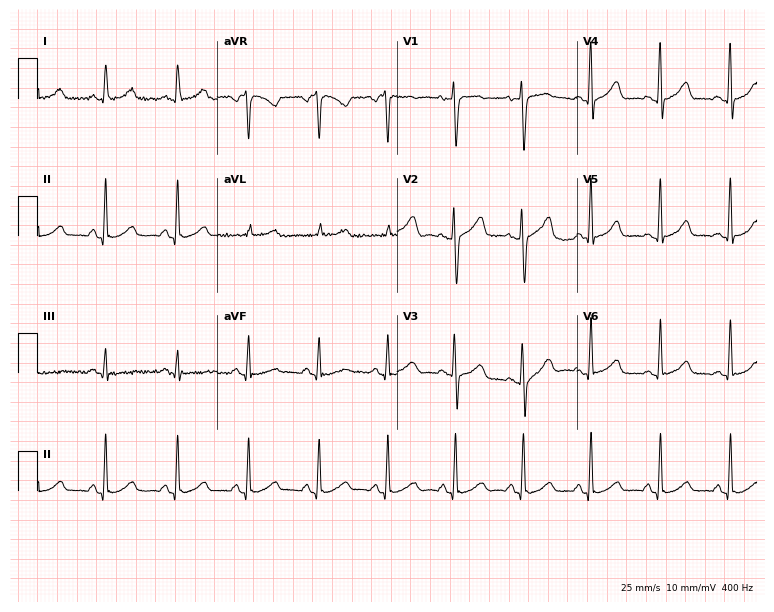
Electrocardiogram, a 53-year-old female patient. Overall reading on record: normal ECG.